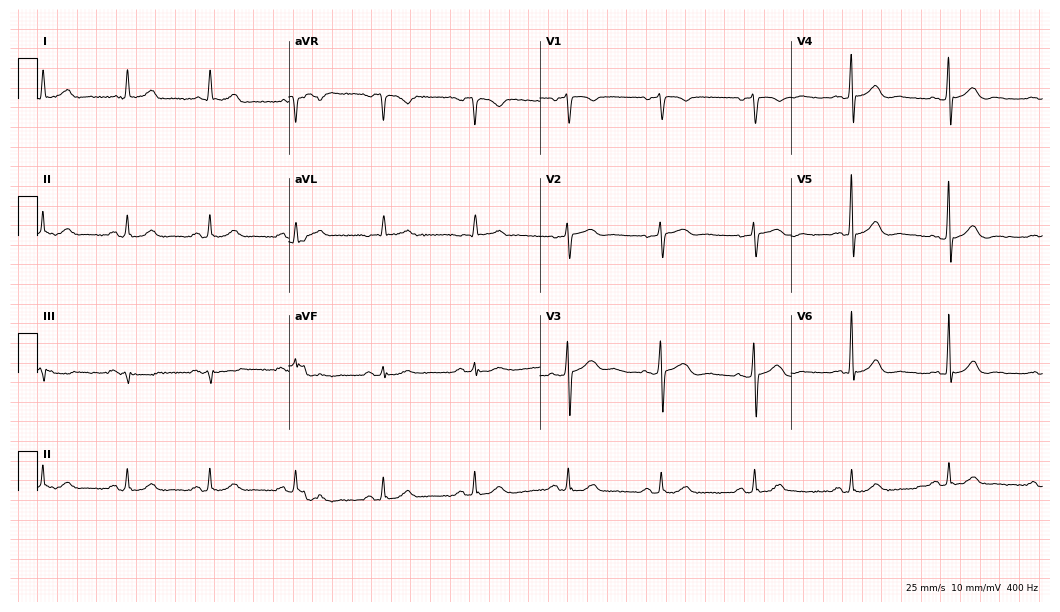
12-lead ECG from a female, 69 years old. Recorded interpretation: within normal limits.